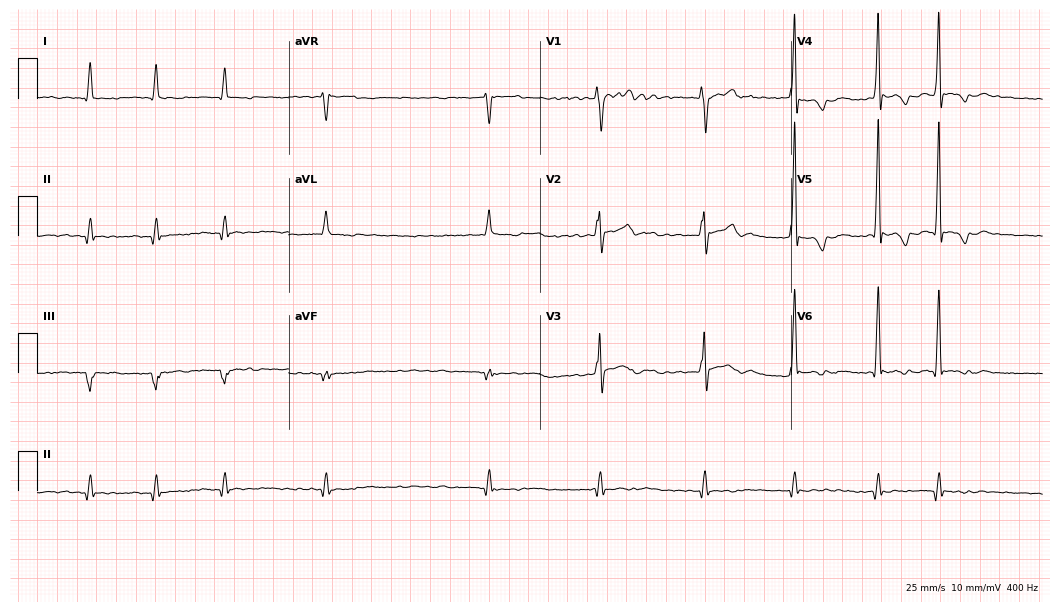
12-lead ECG from a man, 53 years old. Findings include atrial fibrillation.